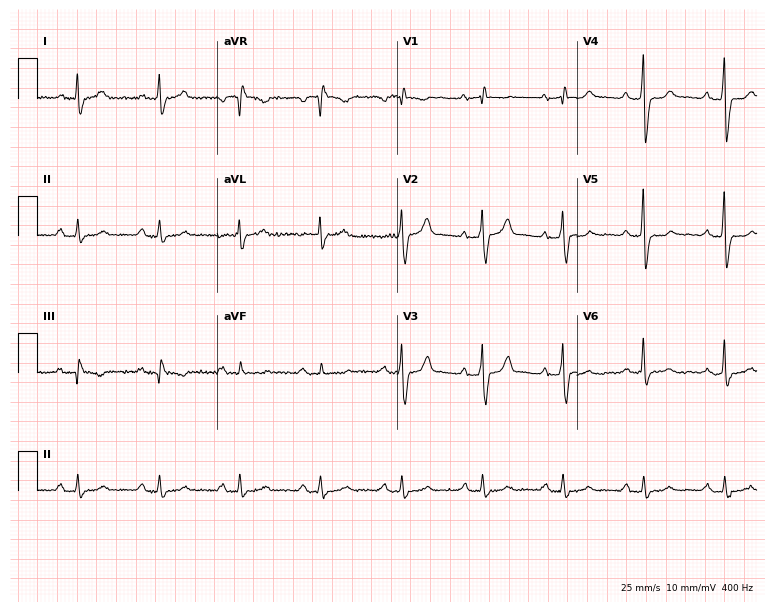
12-lead ECG (7.3-second recording at 400 Hz) from a 65-year-old man. Screened for six findings — first-degree AV block, right bundle branch block (RBBB), left bundle branch block (LBBB), sinus bradycardia, atrial fibrillation (AF), sinus tachycardia — none is recorded.